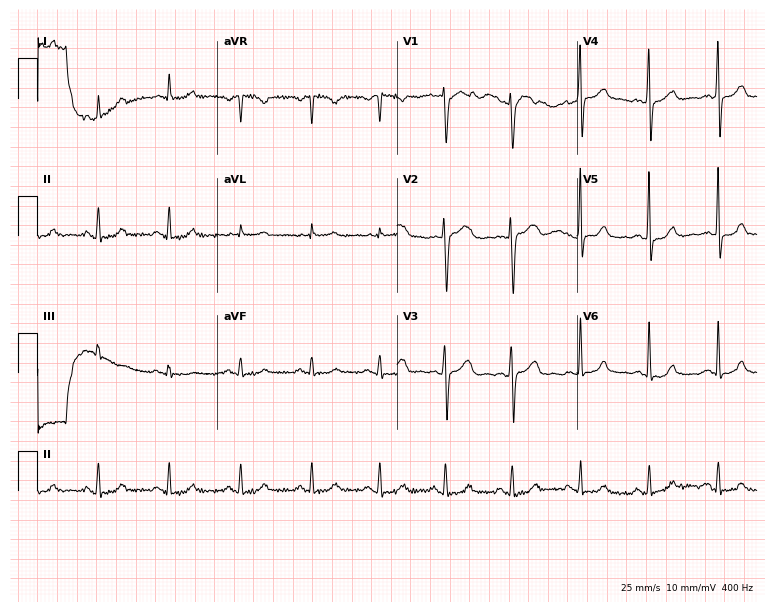
ECG — a 41-year-old woman. Screened for six findings — first-degree AV block, right bundle branch block, left bundle branch block, sinus bradycardia, atrial fibrillation, sinus tachycardia — none is recorded.